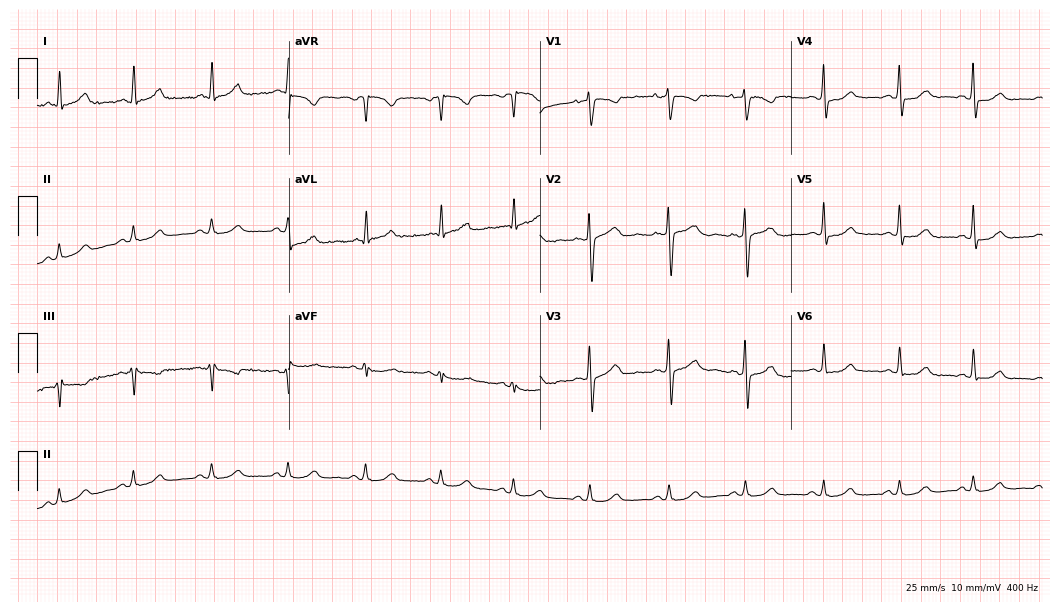
Resting 12-lead electrocardiogram (10.2-second recording at 400 Hz). Patient: a female, 39 years old. Read as a normal ECG.